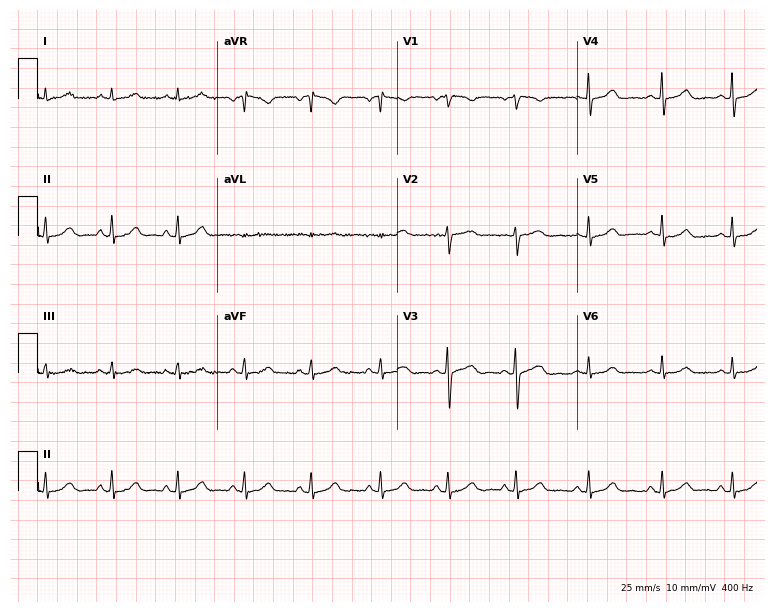
12-lead ECG from a female, 46 years old (7.3-second recording at 400 Hz). Recorded interpretation: within normal limits.